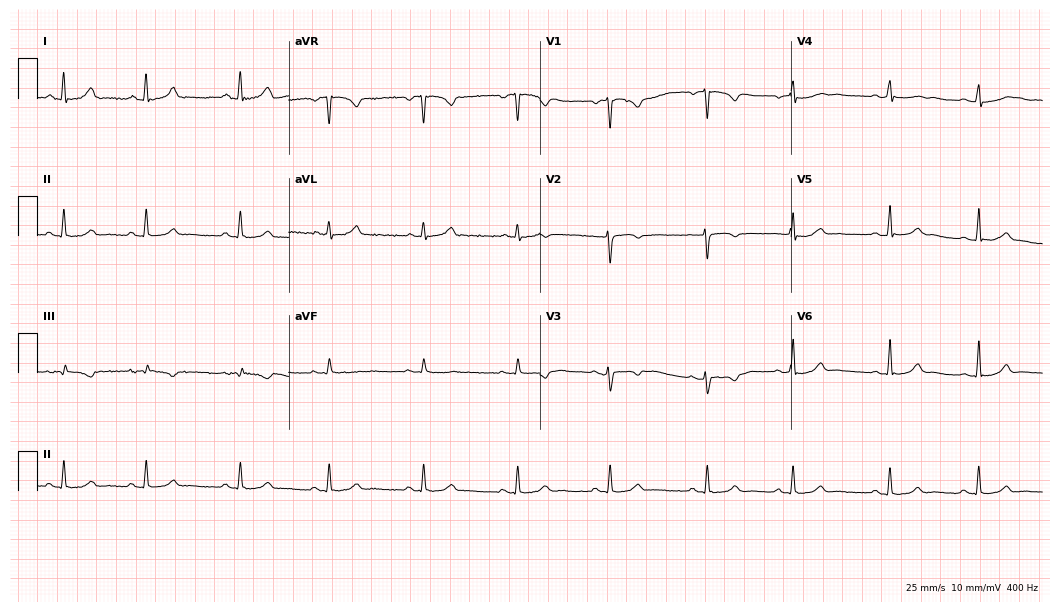
Standard 12-lead ECG recorded from a 19-year-old female patient (10.2-second recording at 400 Hz). None of these six findings is recorded: first-degree AV block, right bundle branch block, left bundle branch block, sinus bradycardia, atrial fibrillation, sinus tachycardia. Findings outside these six are not listed.